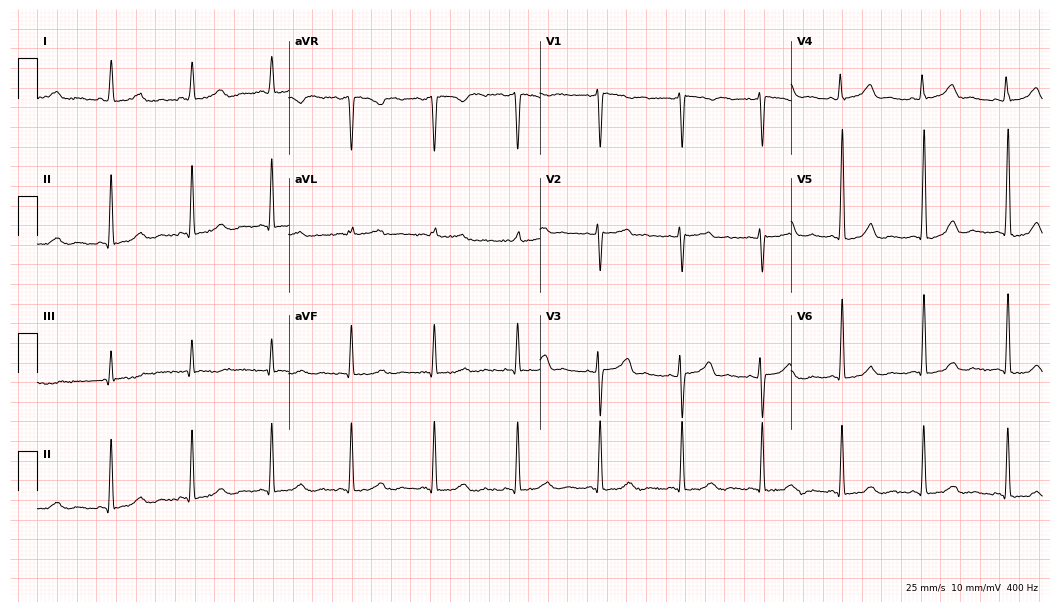
Resting 12-lead electrocardiogram (10.2-second recording at 400 Hz). Patient: a 41-year-old female. Read as a normal ECG.